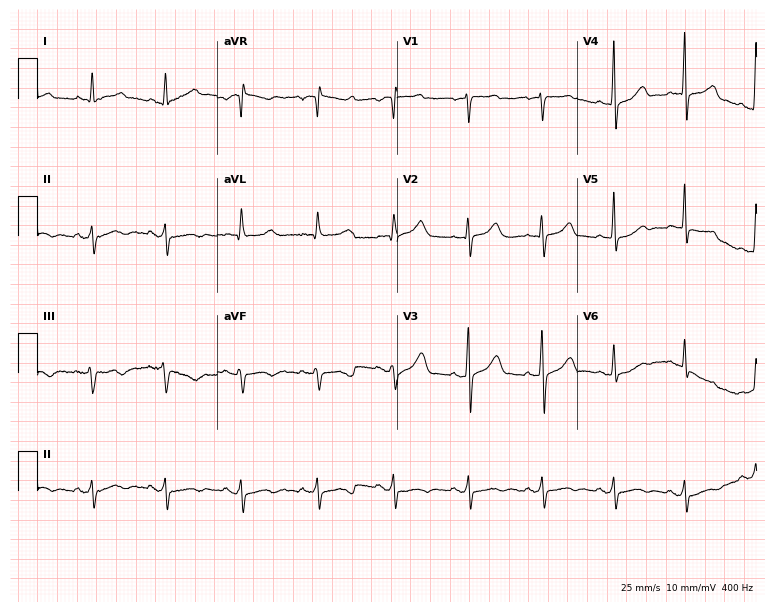
Electrocardiogram, a male, 61 years old. Of the six screened findings (first-degree AV block, right bundle branch block, left bundle branch block, sinus bradycardia, atrial fibrillation, sinus tachycardia), none is recorded. Findings outside these six are not listed.